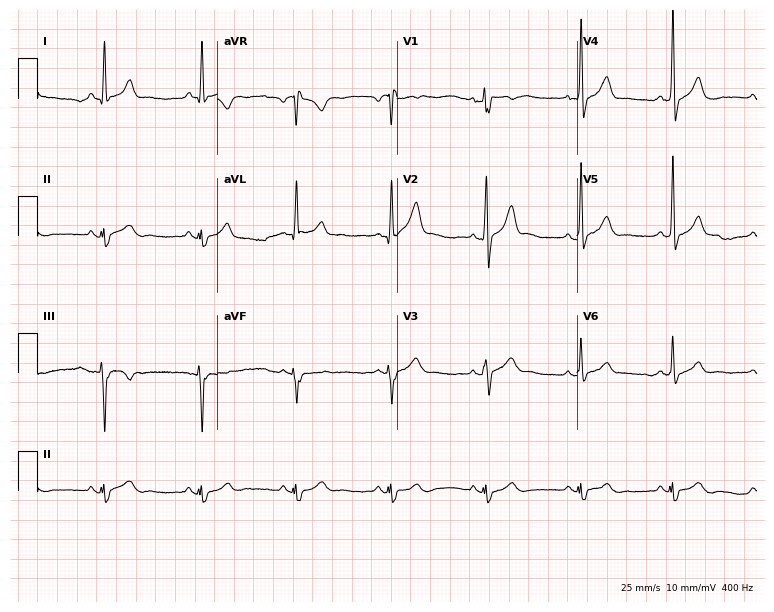
12-lead ECG from a 41-year-old man (7.3-second recording at 400 Hz). Recorded interpretation: within normal limits.